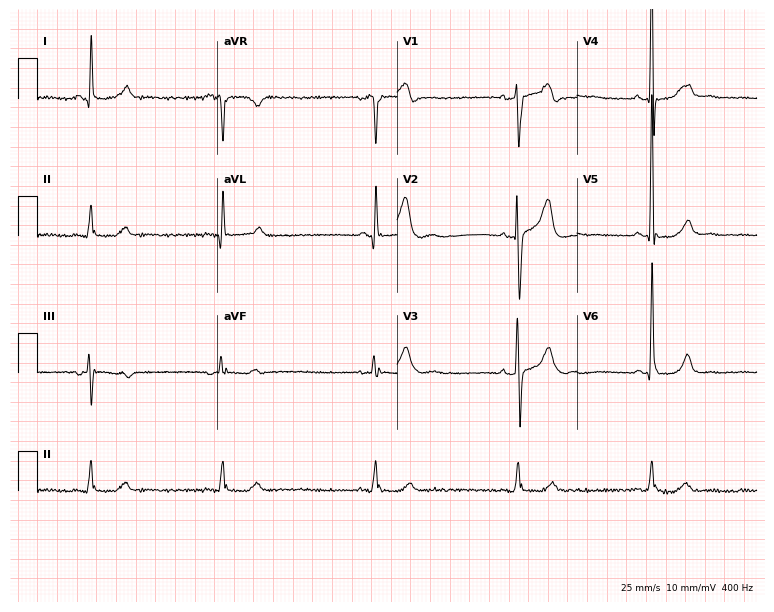
Resting 12-lead electrocardiogram (7.3-second recording at 400 Hz). Patient: a male, 59 years old. The tracing shows sinus bradycardia (a sinus rate of 50 beats per minute or less).